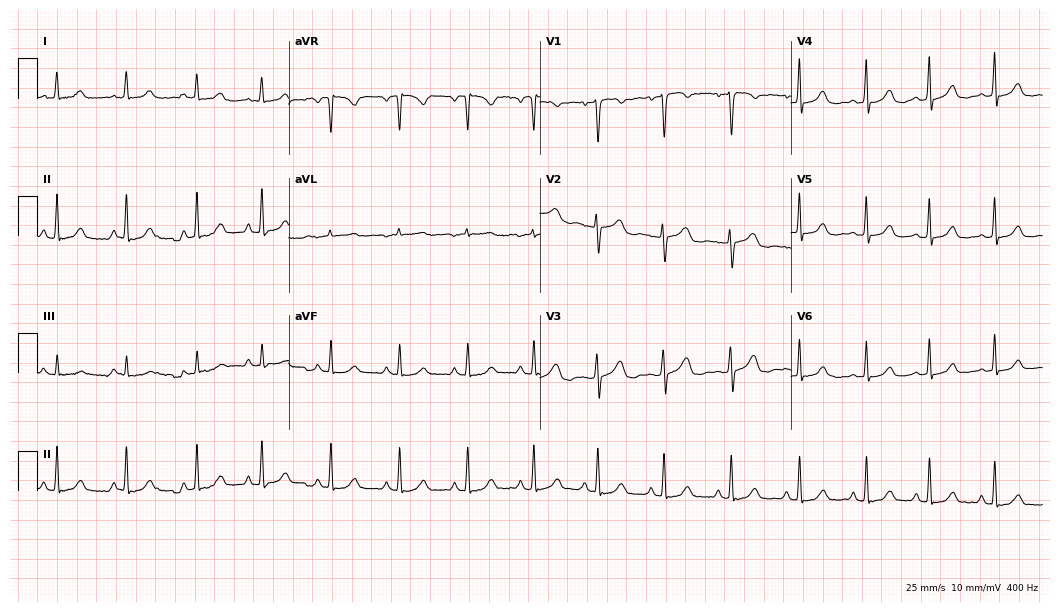
12-lead ECG from a woman, 21 years old. No first-degree AV block, right bundle branch block, left bundle branch block, sinus bradycardia, atrial fibrillation or sinus tachycardia recorded for this tracing.